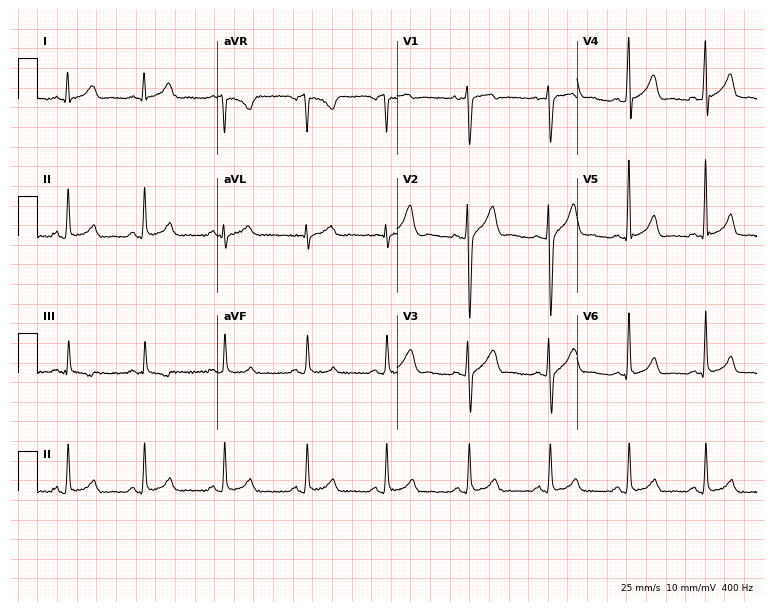
Resting 12-lead electrocardiogram. Patient: a male, 29 years old. Read as a normal ECG.